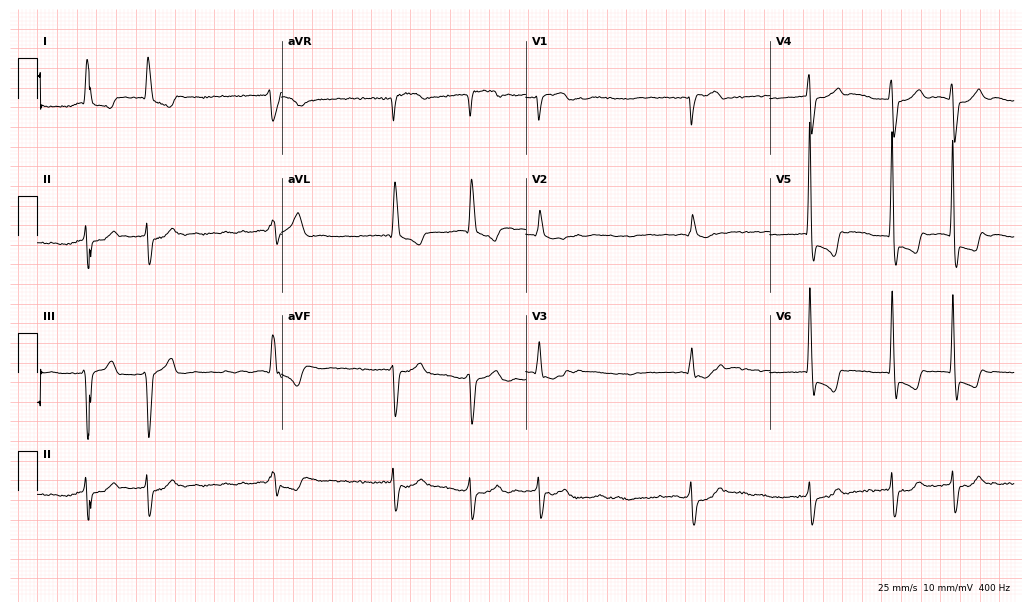
Standard 12-lead ECG recorded from a woman, 80 years old. None of these six findings is recorded: first-degree AV block, right bundle branch block (RBBB), left bundle branch block (LBBB), sinus bradycardia, atrial fibrillation (AF), sinus tachycardia.